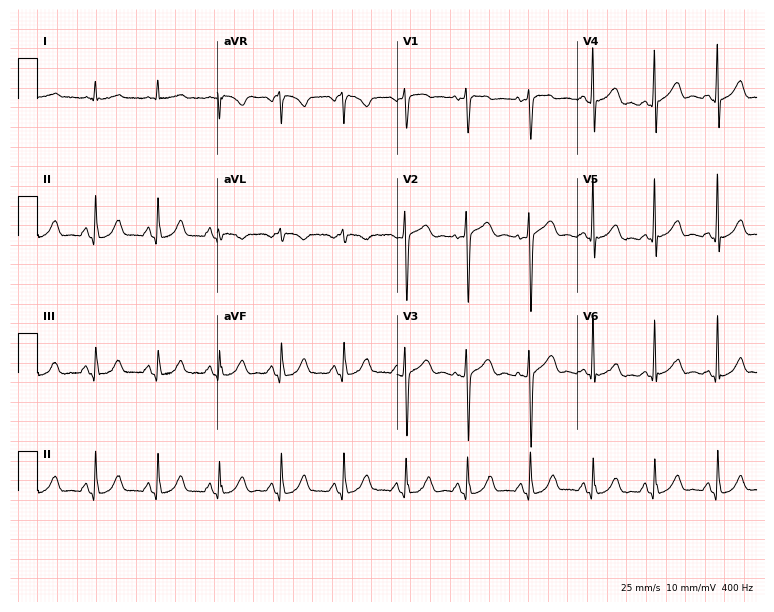
12-lead ECG from a 75-year-old female patient (7.3-second recording at 400 Hz). Recorded interpretation: within normal limits.